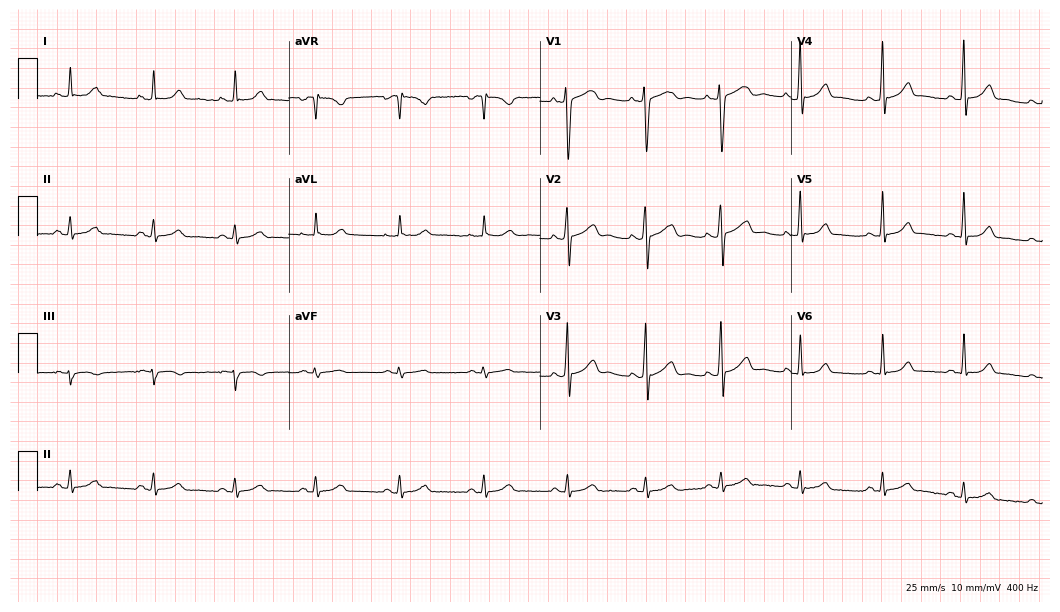
12-lead ECG from a 35-year-old female patient. Recorded interpretation: within normal limits.